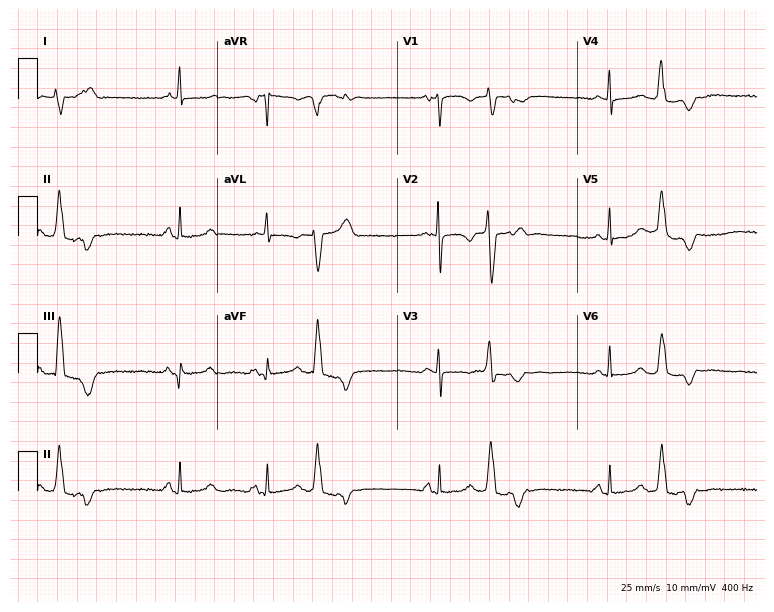
ECG — a woman, 61 years old. Screened for six findings — first-degree AV block, right bundle branch block, left bundle branch block, sinus bradycardia, atrial fibrillation, sinus tachycardia — none is recorded. Findings outside these six are not listed.